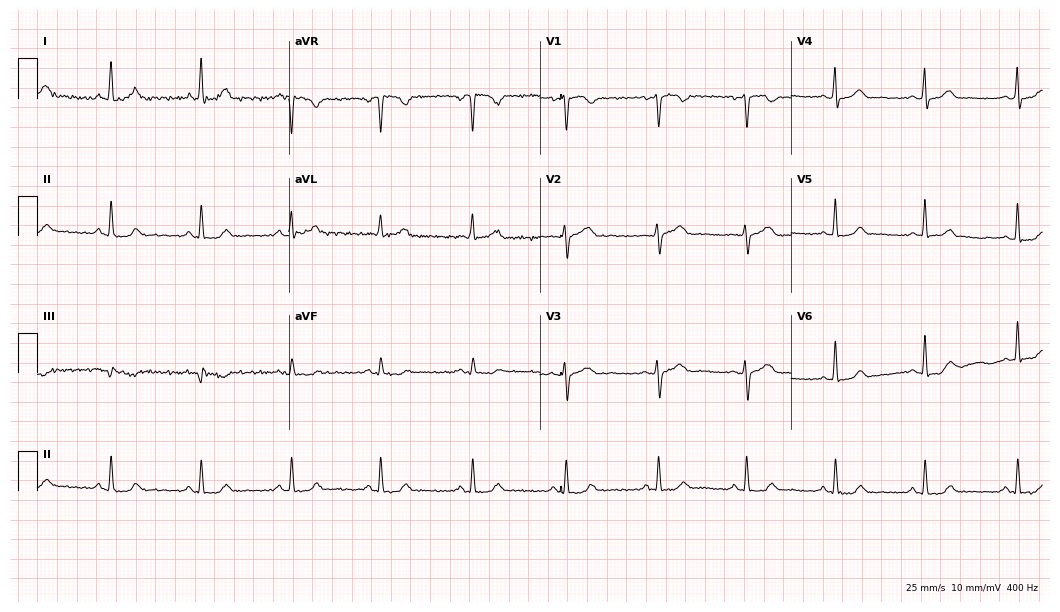
12-lead ECG (10.2-second recording at 400 Hz) from a 38-year-old female. Labelled as a normal ECG.